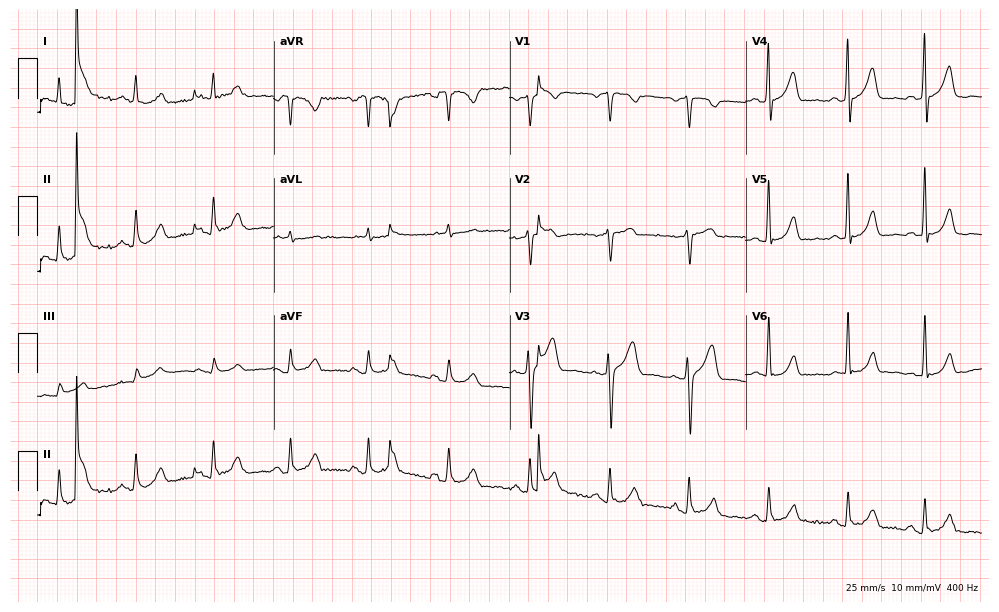
ECG (9.6-second recording at 400 Hz) — a male patient, 63 years old. Screened for six findings — first-degree AV block, right bundle branch block, left bundle branch block, sinus bradycardia, atrial fibrillation, sinus tachycardia — none is recorded. Findings outside these six are not listed.